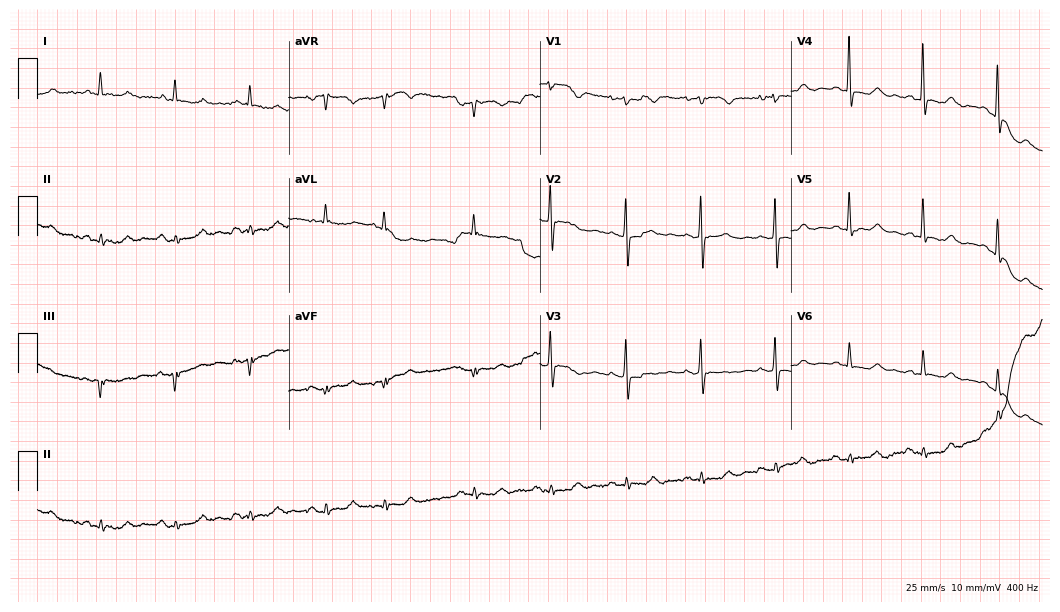
Standard 12-lead ECG recorded from a woman, 72 years old. None of these six findings is recorded: first-degree AV block, right bundle branch block, left bundle branch block, sinus bradycardia, atrial fibrillation, sinus tachycardia.